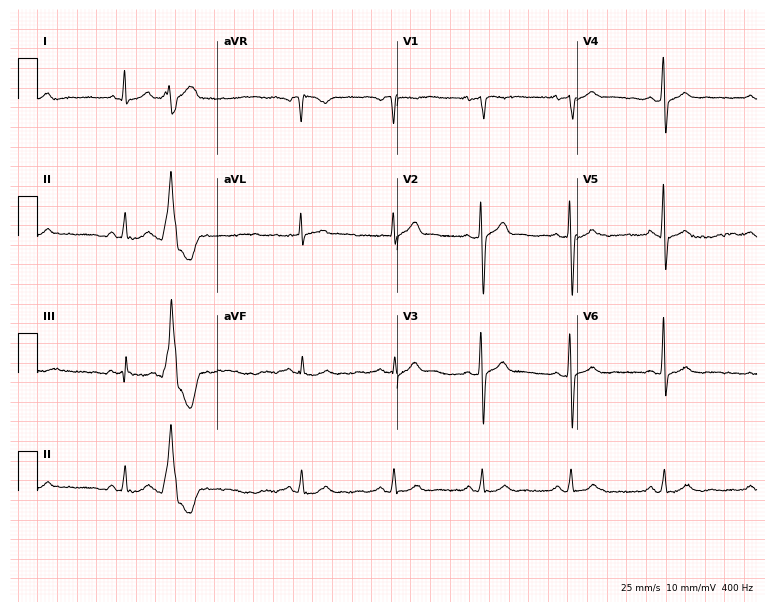
12-lead ECG from a male, 55 years old. Screened for six findings — first-degree AV block, right bundle branch block, left bundle branch block, sinus bradycardia, atrial fibrillation, sinus tachycardia — none is recorded. Findings outside these six are not listed.